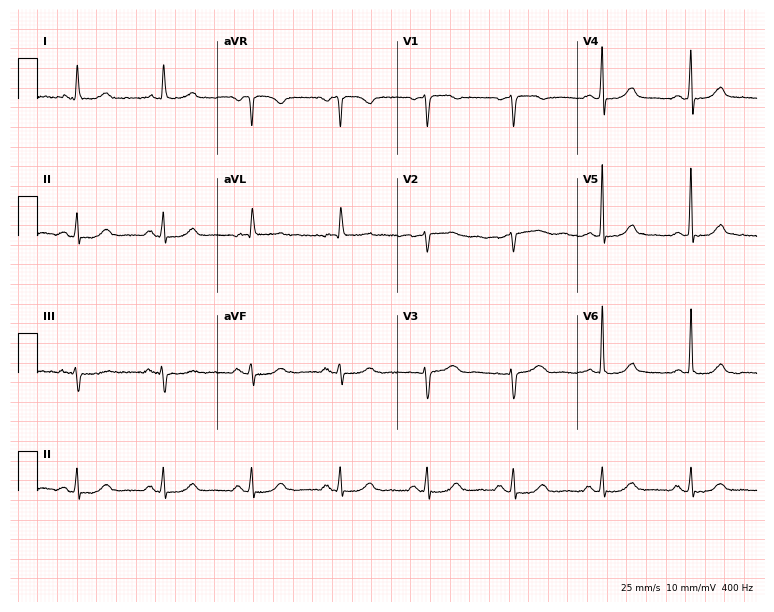
Electrocardiogram, a 61-year-old woman. Of the six screened findings (first-degree AV block, right bundle branch block, left bundle branch block, sinus bradycardia, atrial fibrillation, sinus tachycardia), none is recorded.